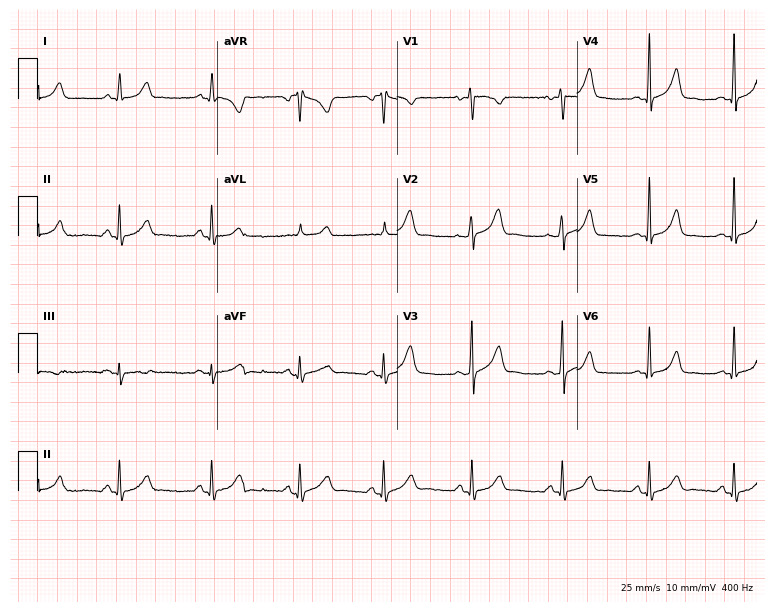
12-lead ECG (7.3-second recording at 400 Hz) from a 21-year-old female. Labelled as a normal ECG.